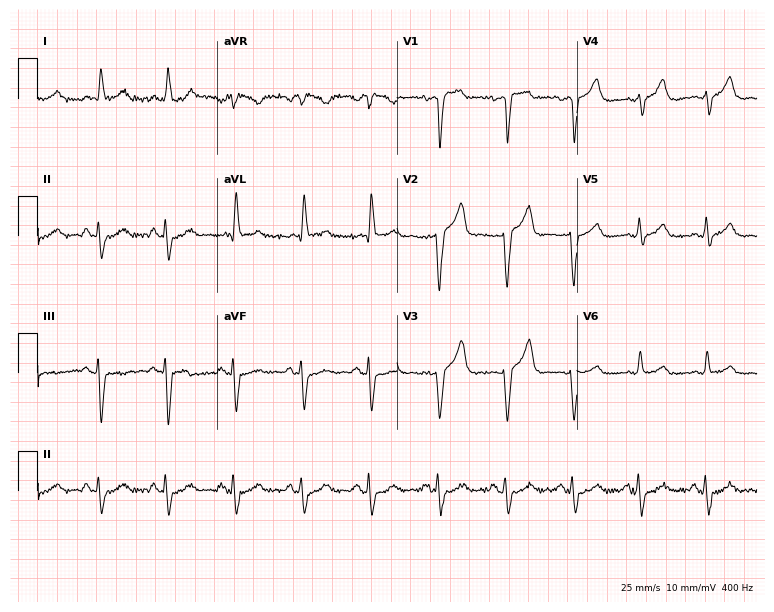
ECG (7.3-second recording at 400 Hz) — a man, 68 years old. Screened for six findings — first-degree AV block, right bundle branch block, left bundle branch block, sinus bradycardia, atrial fibrillation, sinus tachycardia — none is recorded.